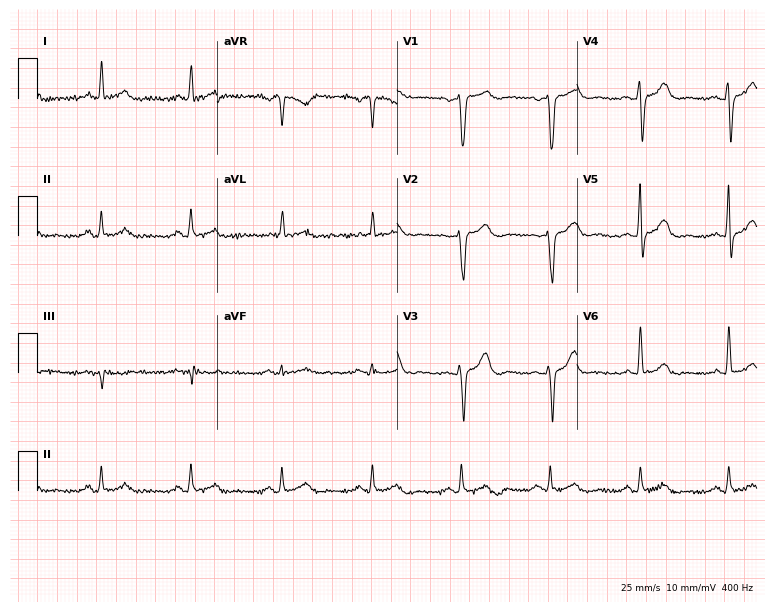
Resting 12-lead electrocardiogram. Patient: a man, 74 years old. Read as a normal ECG.